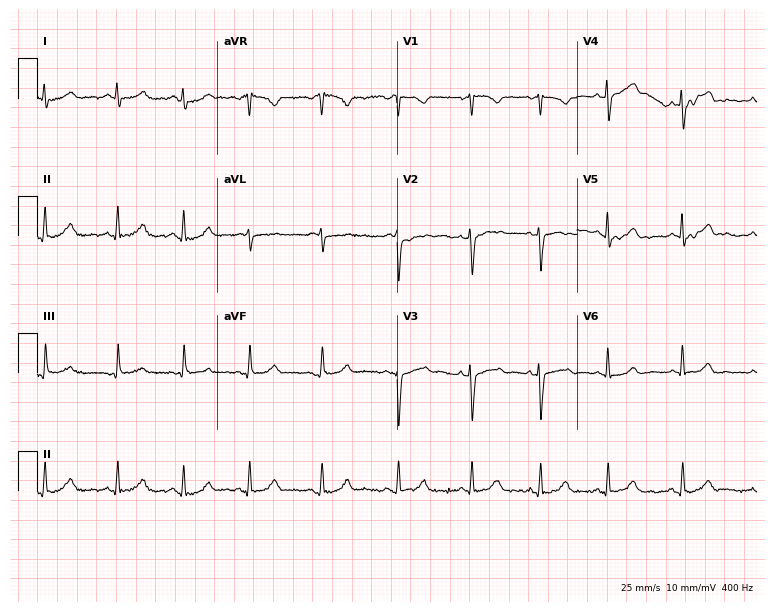
12-lead ECG from a 27-year-old female. No first-degree AV block, right bundle branch block (RBBB), left bundle branch block (LBBB), sinus bradycardia, atrial fibrillation (AF) or sinus tachycardia recorded for this tracing.